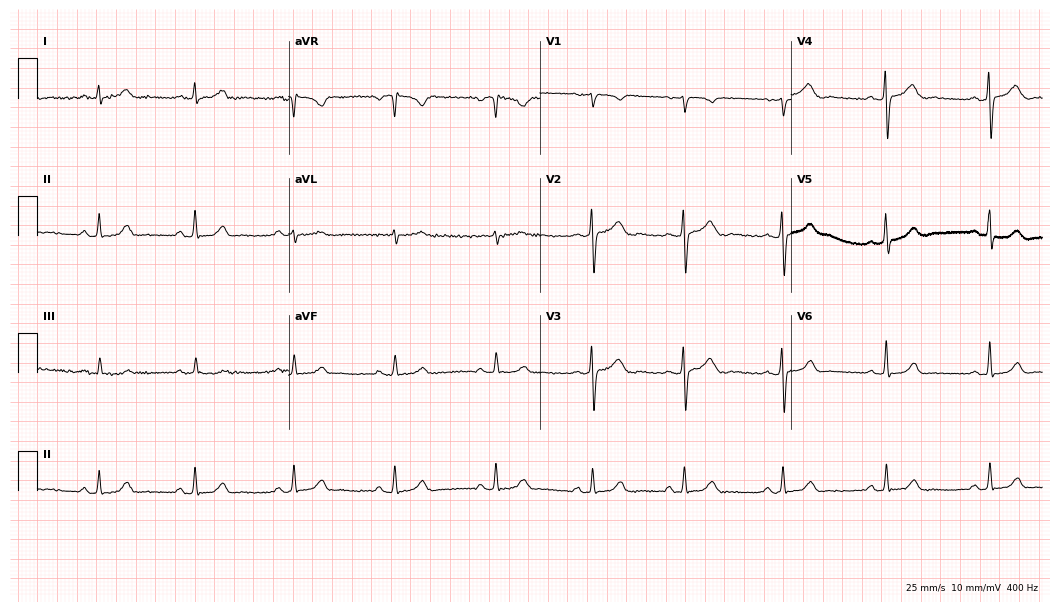
Standard 12-lead ECG recorded from a woman, 35 years old (10.2-second recording at 400 Hz). Read as a normal ECG.